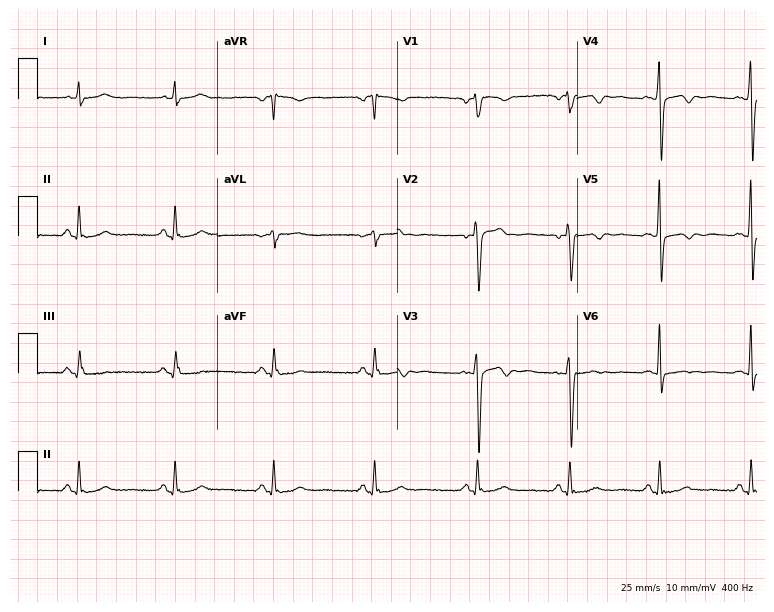
12-lead ECG from a woman, 53 years old. Screened for six findings — first-degree AV block, right bundle branch block, left bundle branch block, sinus bradycardia, atrial fibrillation, sinus tachycardia — none is recorded. Findings outside these six are not listed.